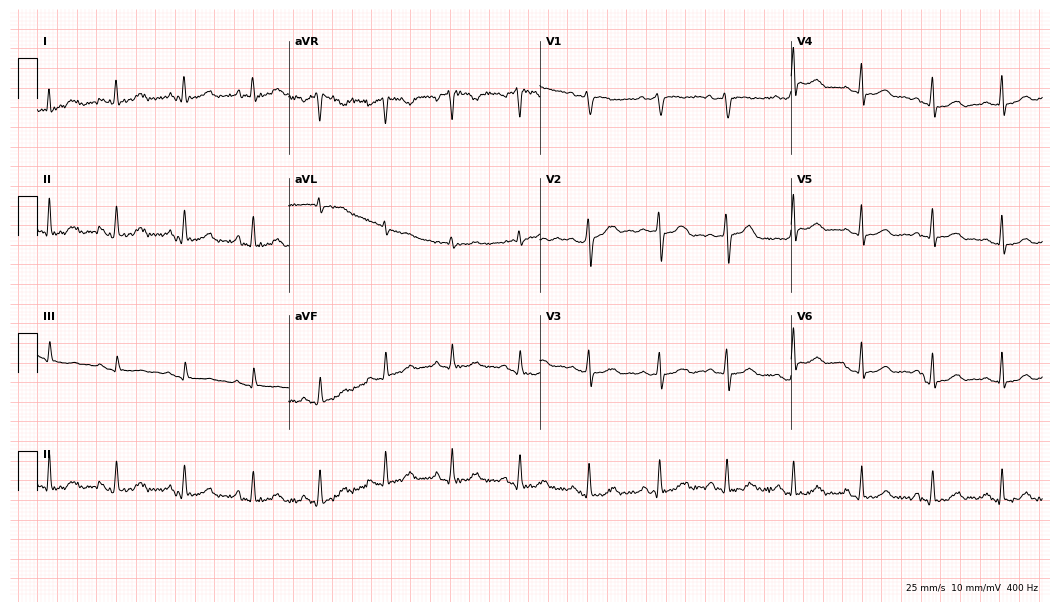
ECG (10.2-second recording at 400 Hz) — a female patient, 51 years old. Labelled as a normal ECG.